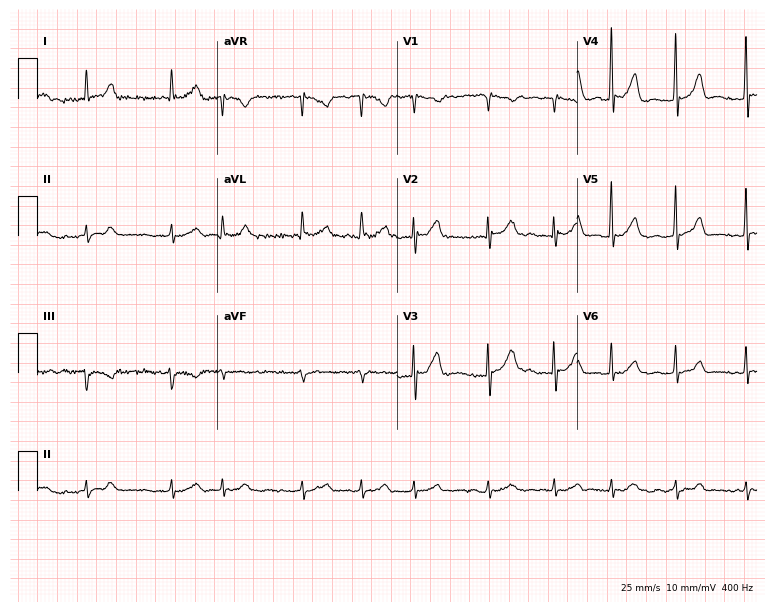
Standard 12-lead ECG recorded from a 75-year-old male patient (7.3-second recording at 400 Hz). The tracing shows atrial fibrillation.